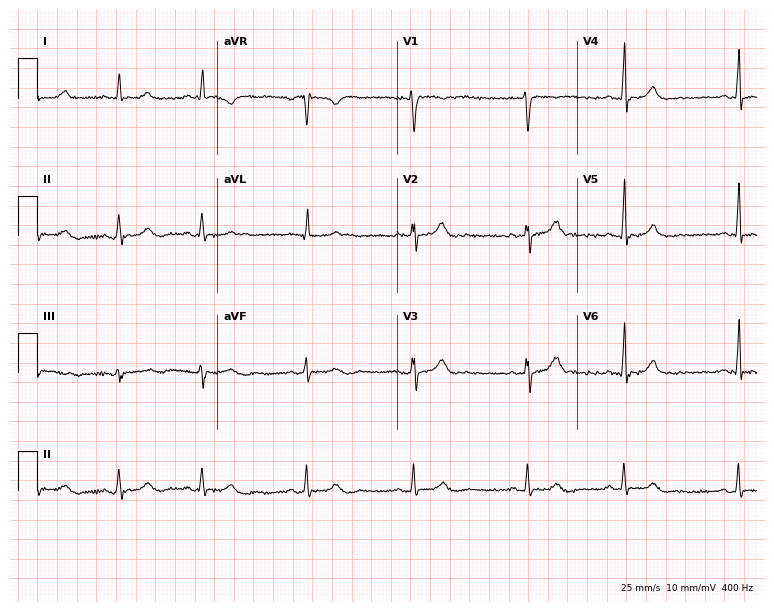
Resting 12-lead electrocardiogram (7.3-second recording at 400 Hz). Patient: a female, 37 years old. None of these six findings is recorded: first-degree AV block, right bundle branch block (RBBB), left bundle branch block (LBBB), sinus bradycardia, atrial fibrillation (AF), sinus tachycardia.